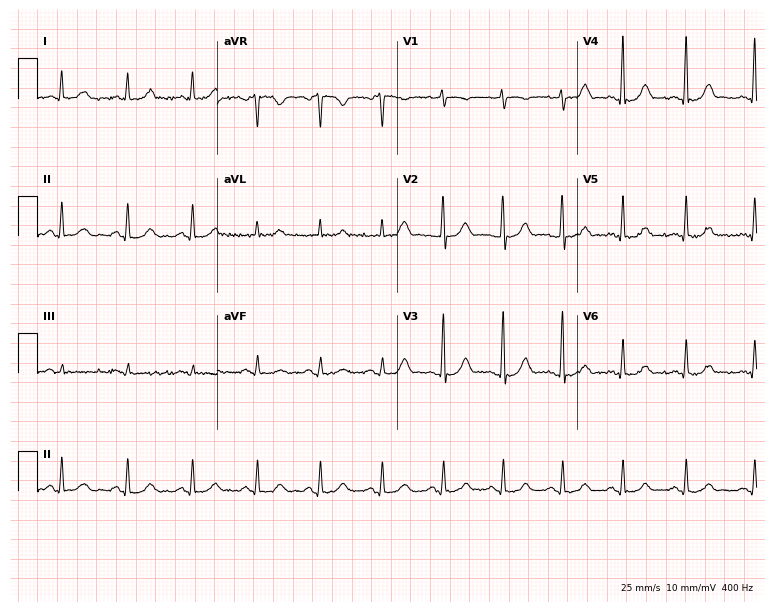
12-lead ECG from a 49-year-old female patient (7.3-second recording at 400 Hz). Recorded interpretation: within normal limits.